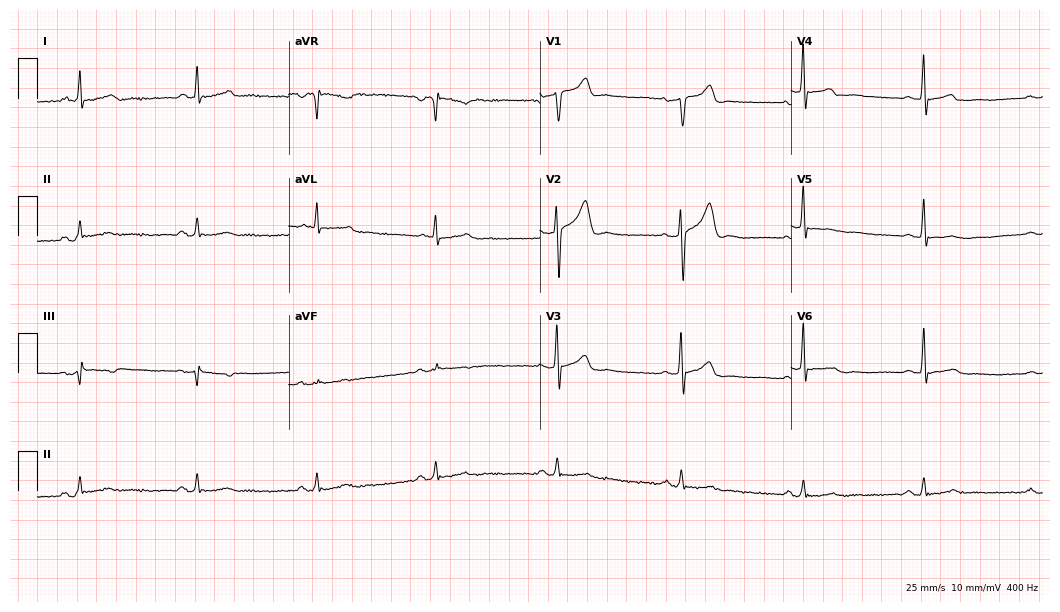
12-lead ECG from a 59-year-old male. Shows sinus bradycardia (a sinus rate of 50 beats per minute or less).